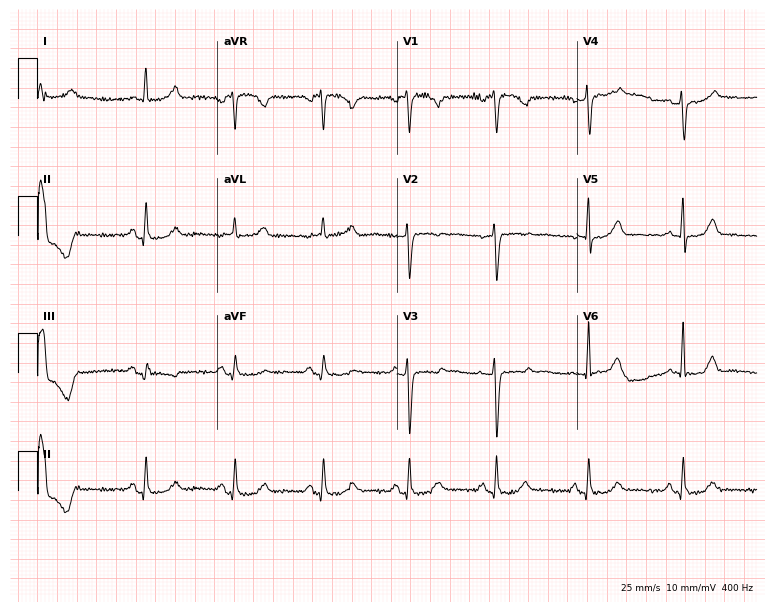
Resting 12-lead electrocardiogram. Patient: a woman, 60 years old. None of these six findings is recorded: first-degree AV block, right bundle branch block, left bundle branch block, sinus bradycardia, atrial fibrillation, sinus tachycardia. Only these six findings were labelled.